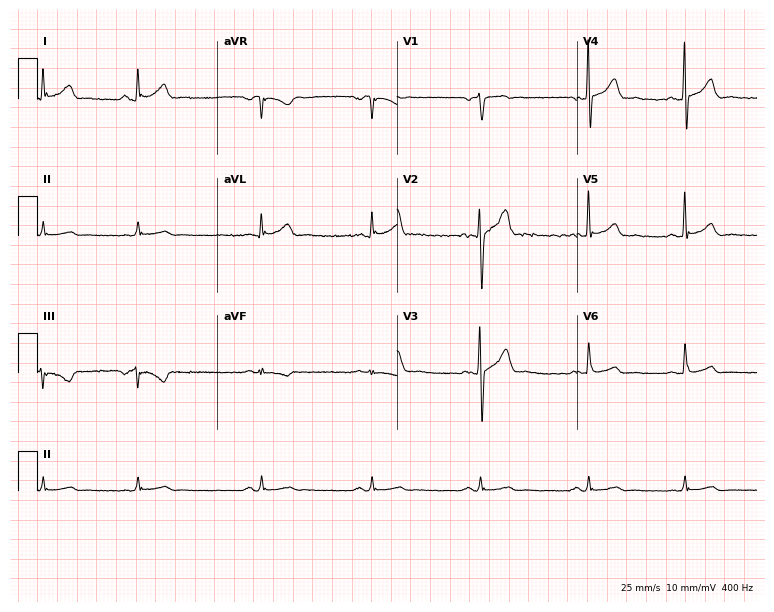
ECG — a 47-year-old man. Labelled as a normal ECG.